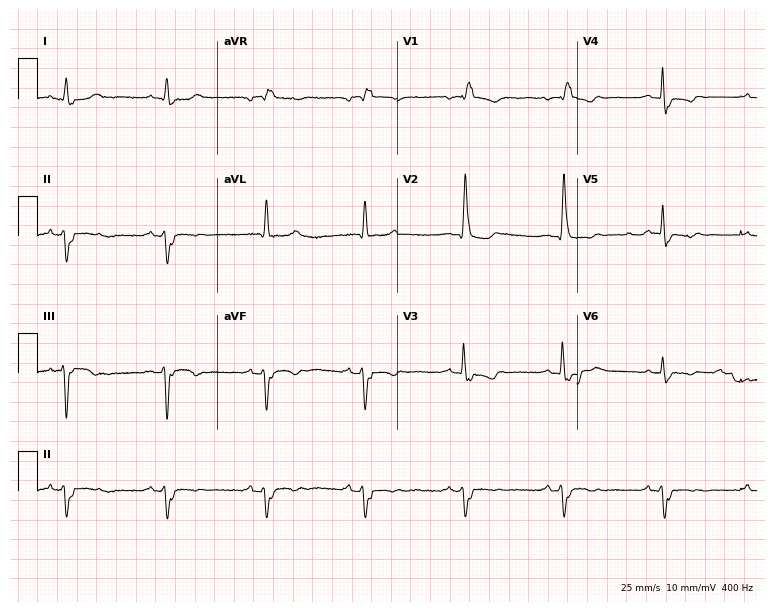
Resting 12-lead electrocardiogram. Patient: an 80-year-old woman. The tracing shows right bundle branch block.